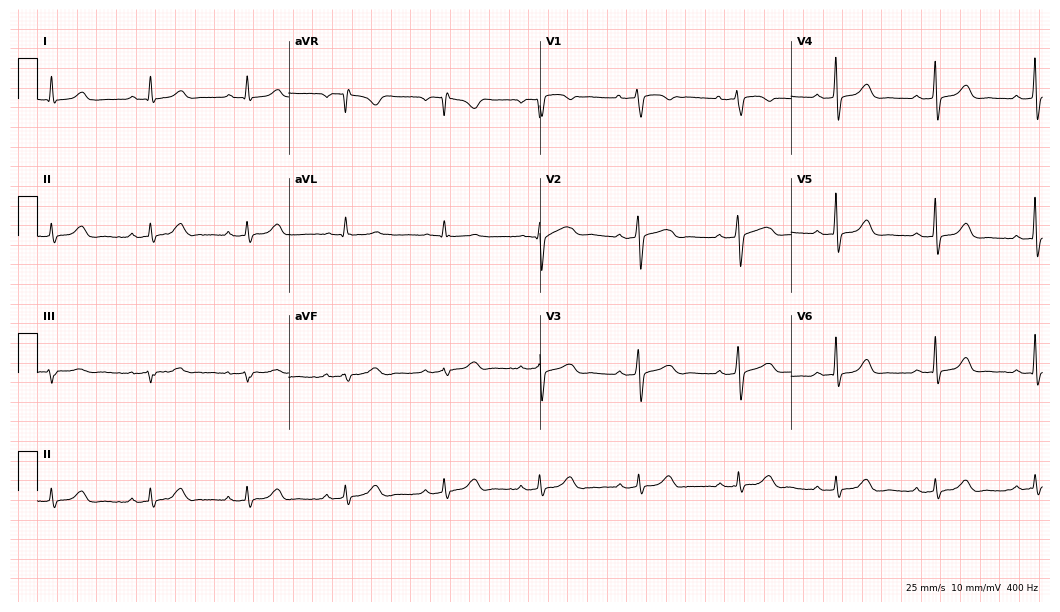
Standard 12-lead ECG recorded from a female patient, 56 years old (10.2-second recording at 400 Hz). Read as a normal ECG.